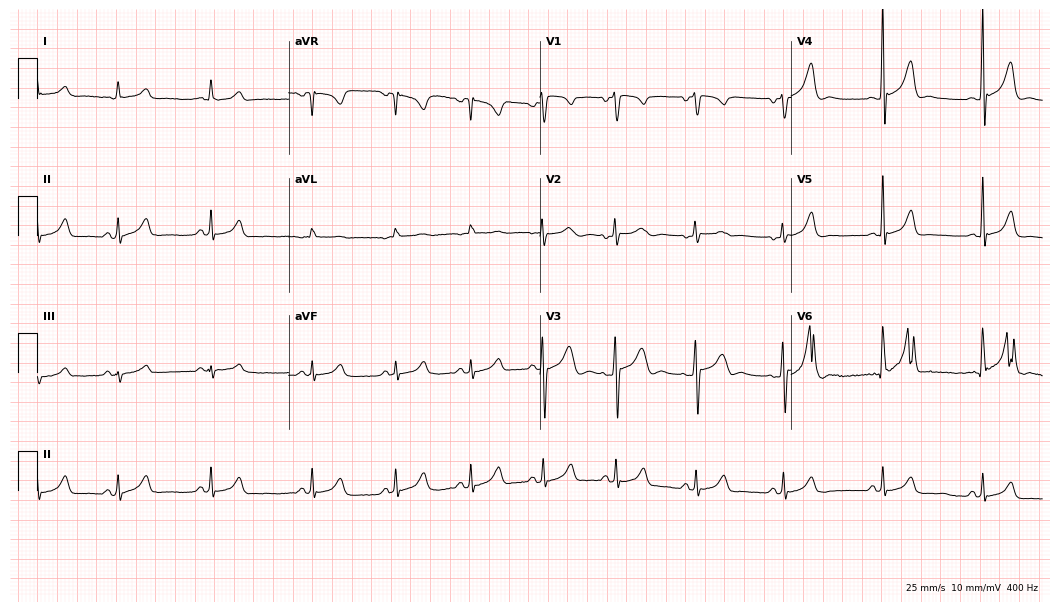
Standard 12-lead ECG recorded from a man, 20 years old. None of these six findings is recorded: first-degree AV block, right bundle branch block, left bundle branch block, sinus bradycardia, atrial fibrillation, sinus tachycardia. Only these six findings were labelled.